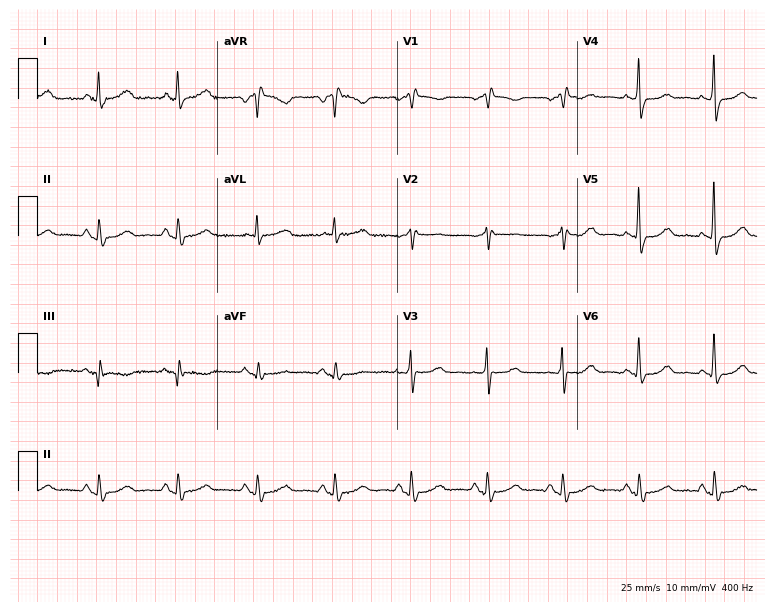
Electrocardiogram, a 68-year-old woman. Of the six screened findings (first-degree AV block, right bundle branch block, left bundle branch block, sinus bradycardia, atrial fibrillation, sinus tachycardia), none is recorded.